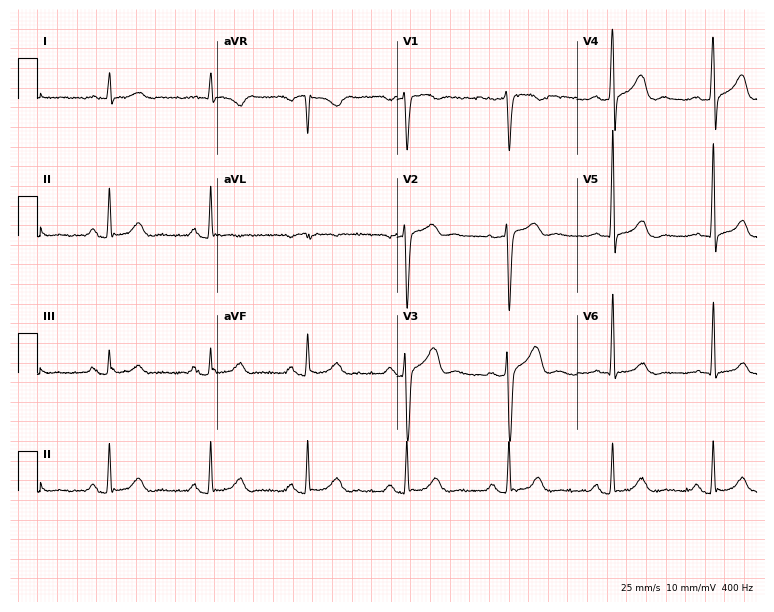
12-lead ECG from a 62-year-old male patient. Labelled as a normal ECG.